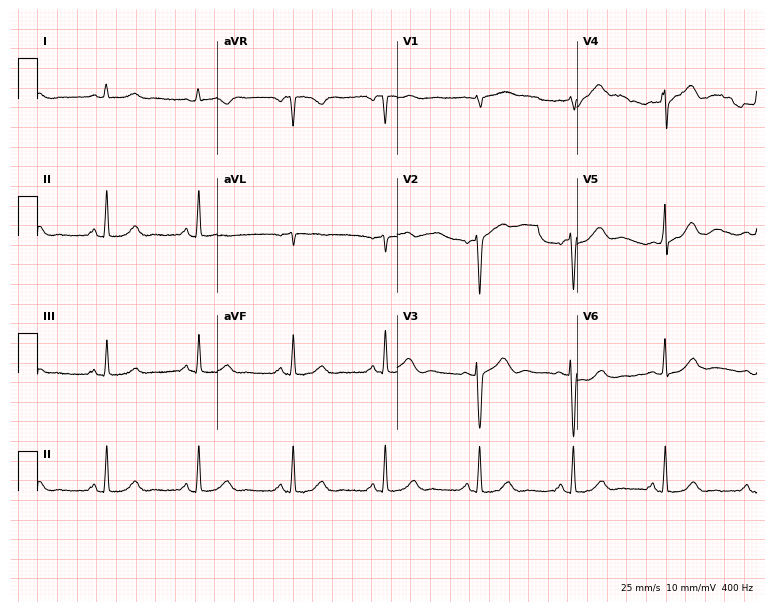
12-lead ECG from a female, 51 years old (7.3-second recording at 400 Hz). Recorded interpretation: within normal limits.